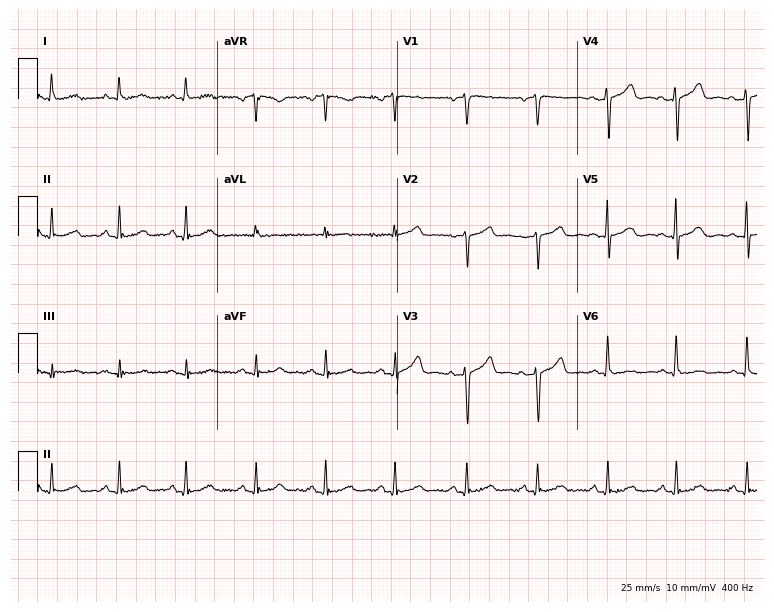
ECG — a woman, 58 years old. Labelled as a normal ECG.